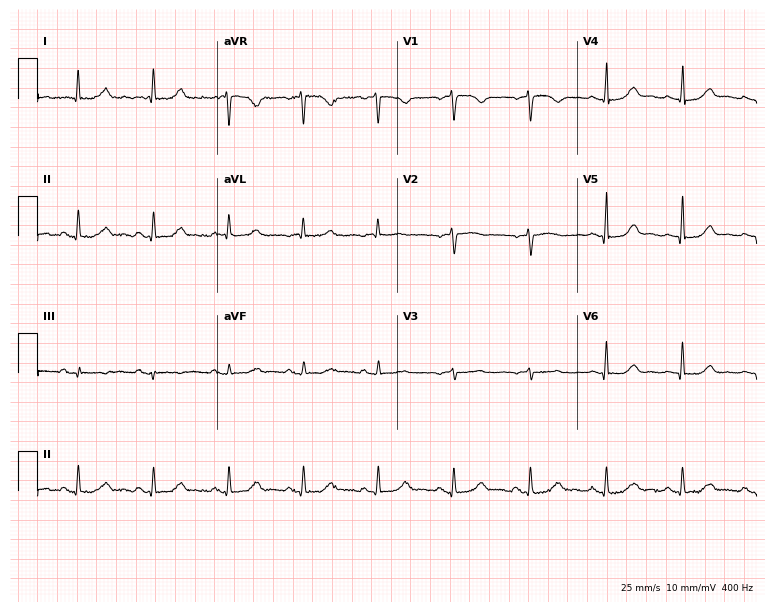
12-lead ECG from a 73-year-old woman. No first-degree AV block, right bundle branch block, left bundle branch block, sinus bradycardia, atrial fibrillation or sinus tachycardia recorded for this tracing. Only these six findings were labelled.